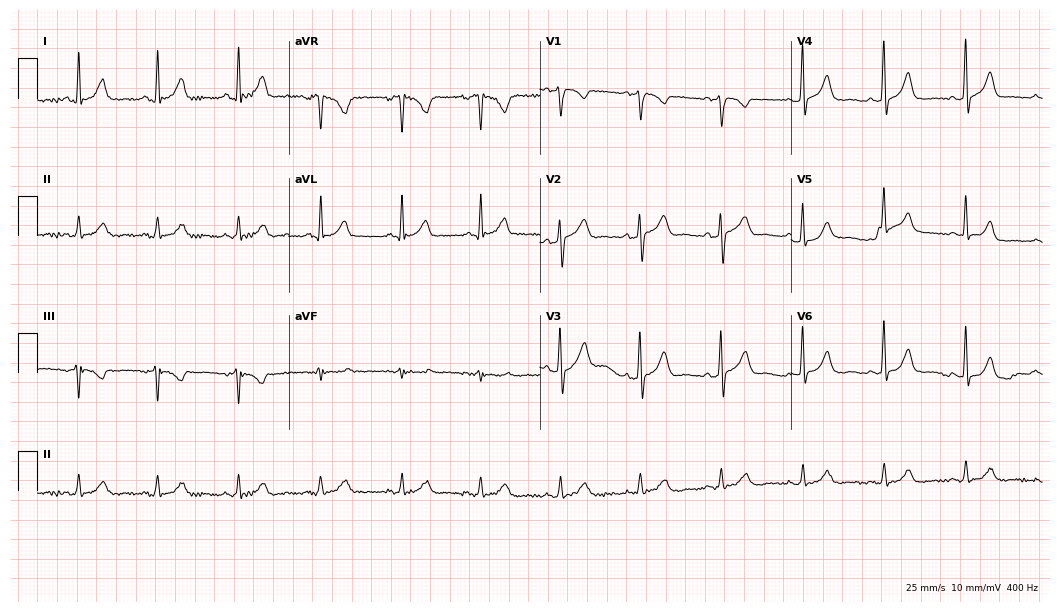
Standard 12-lead ECG recorded from a 68-year-old woman. None of these six findings is recorded: first-degree AV block, right bundle branch block (RBBB), left bundle branch block (LBBB), sinus bradycardia, atrial fibrillation (AF), sinus tachycardia.